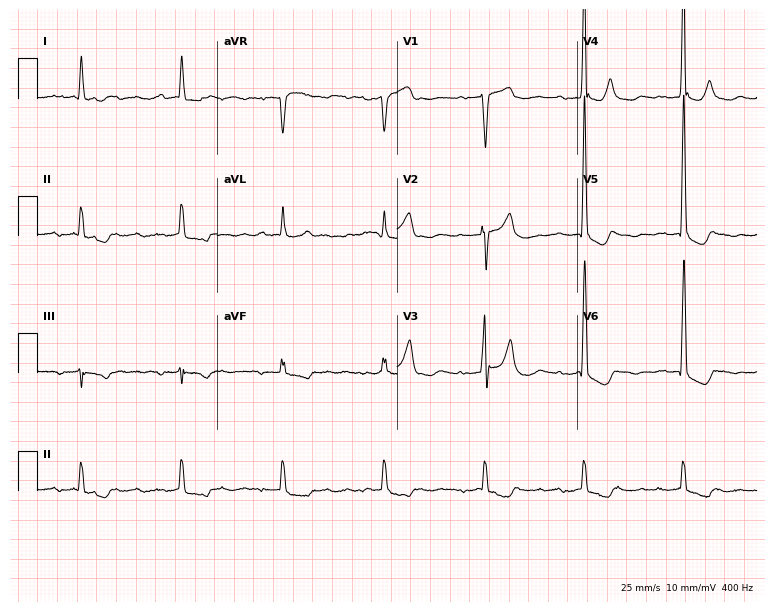
Standard 12-lead ECG recorded from an 85-year-old male patient (7.3-second recording at 400 Hz). The tracing shows first-degree AV block.